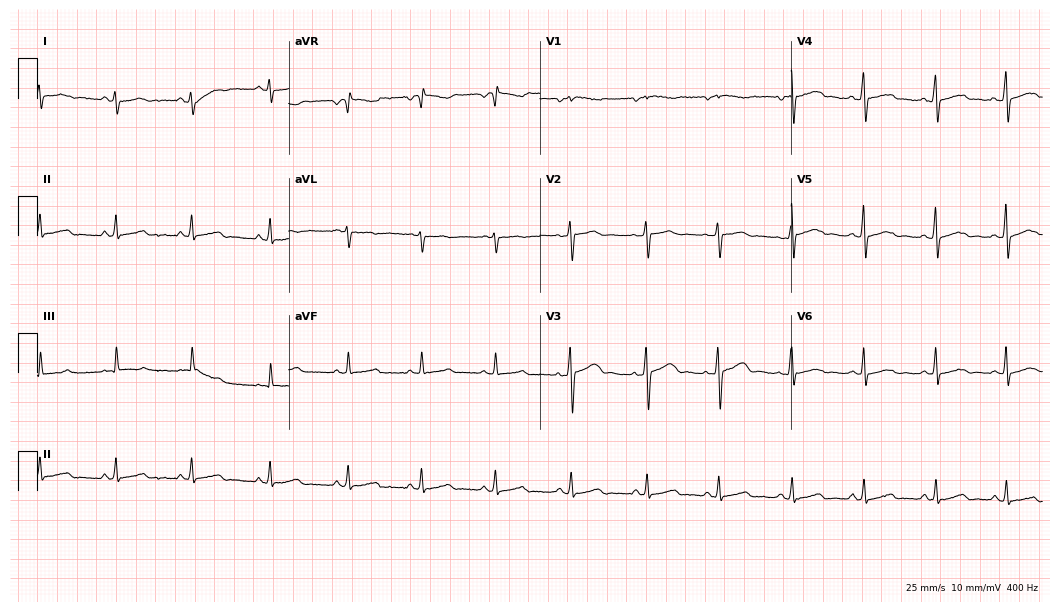
Electrocardiogram, a 30-year-old female patient. Of the six screened findings (first-degree AV block, right bundle branch block (RBBB), left bundle branch block (LBBB), sinus bradycardia, atrial fibrillation (AF), sinus tachycardia), none is recorded.